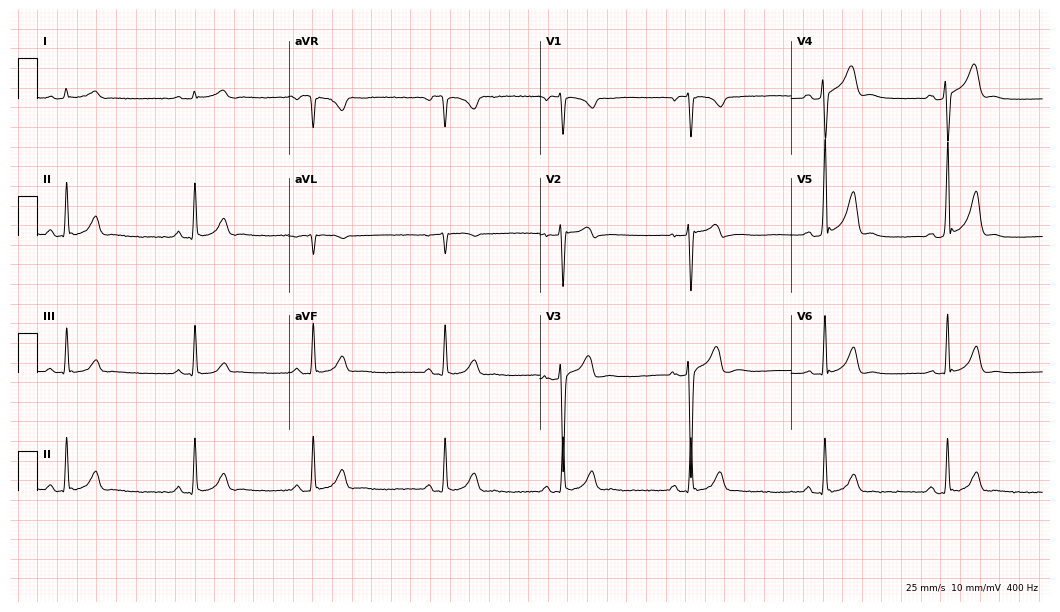
ECG (10.2-second recording at 400 Hz) — a 27-year-old male. Findings include sinus bradycardia (a sinus rate of 50 beats per minute or less).